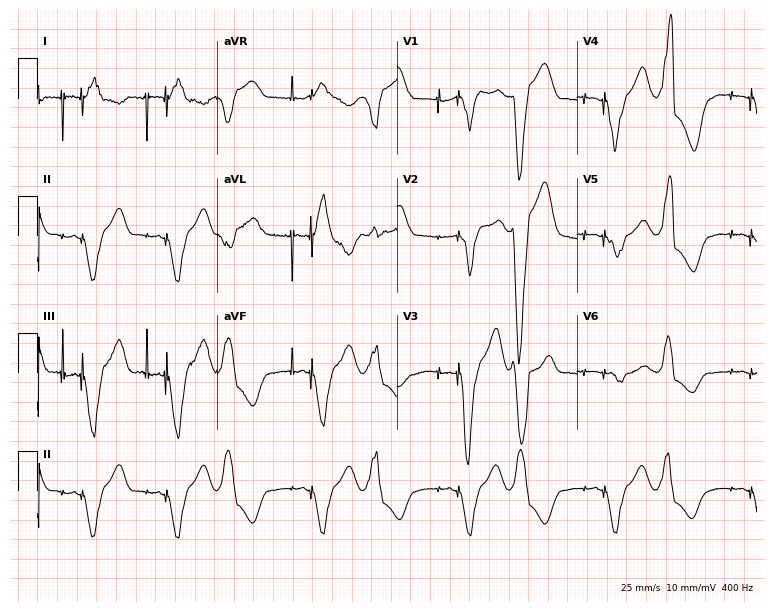
ECG (7.3-second recording at 400 Hz) — a male patient, 38 years old. Screened for six findings — first-degree AV block, right bundle branch block, left bundle branch block, sinus bradycardia, atrial fibrillation, sinus tachycardia — none is recorded.